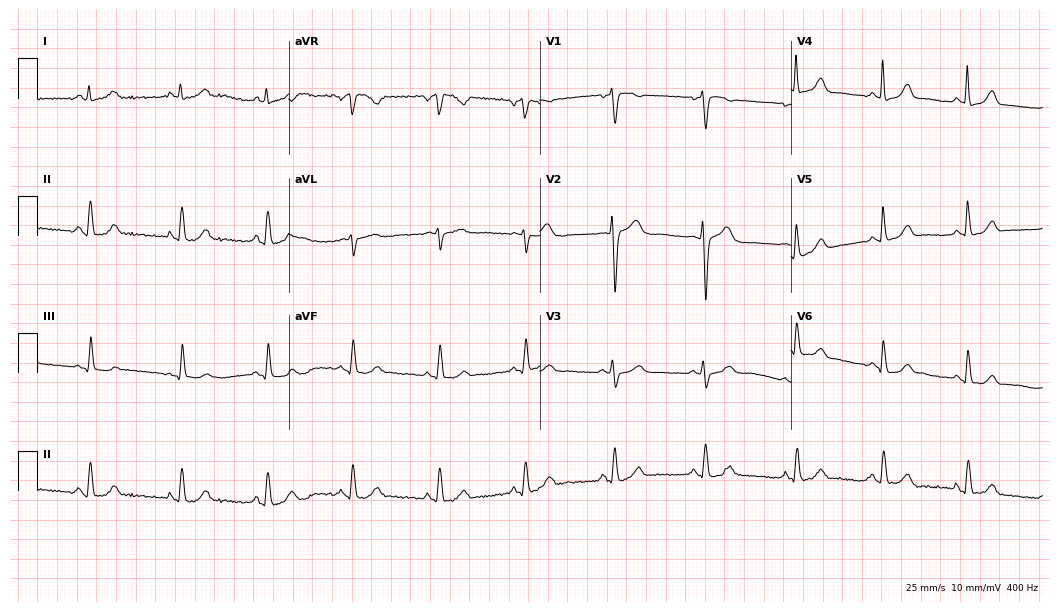
12-lead ECG (10.2-second recording at 400 Hz) from a female patient, 43 years old. Labelled as a normal ECG.